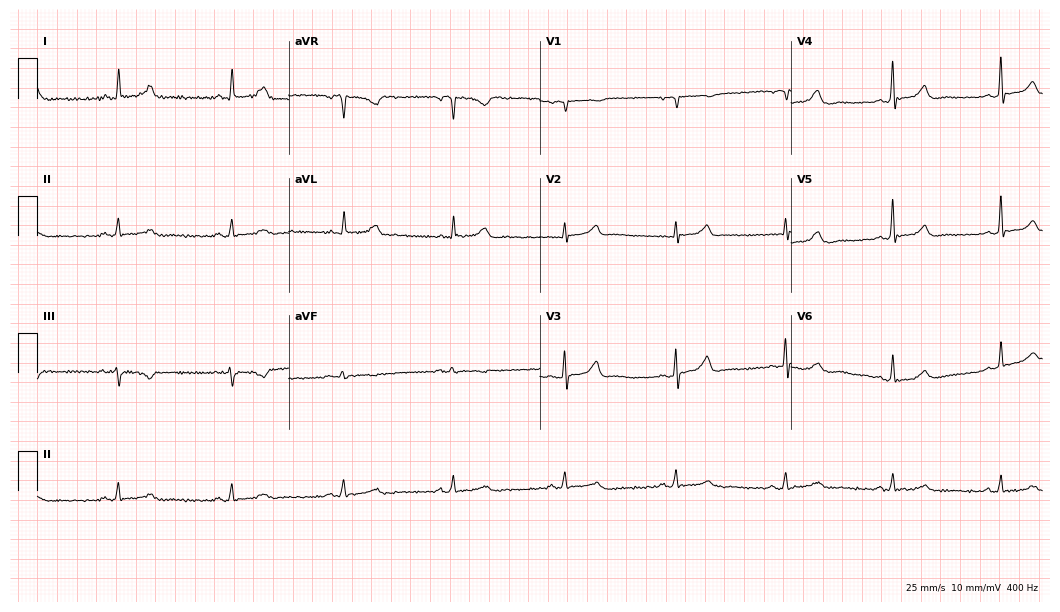
Standard 12-lead ECG recorded from a female patient, 57 years old. Read as a normal ECG.